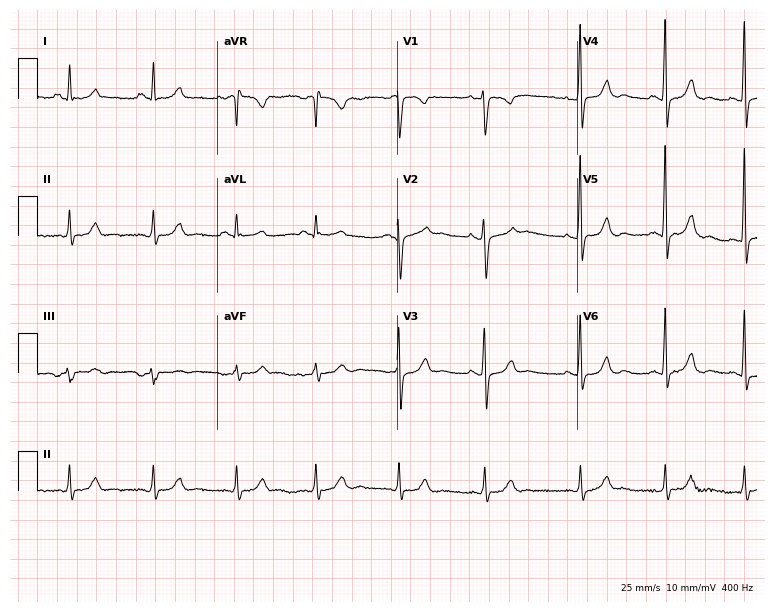
12-lead ECG from a female patient, 52 years old. No first-degree AV block, right bundle branch block, left bundle branch block, sinus bradycardia, atrial fibrillation or sinus tachycardia recorded for this tracing. Other findings, if any, are not listed.